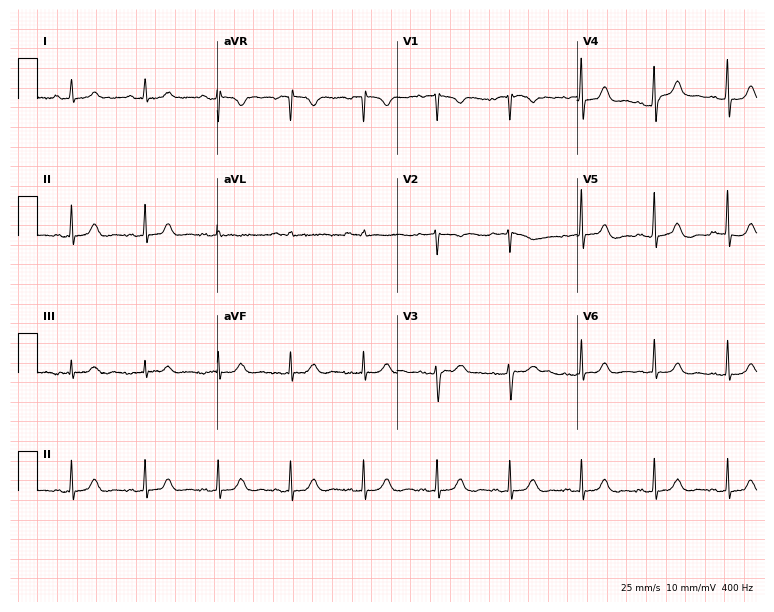
Electrocardiogram, a 65-year-old female. Of the six screened findings (first-degree AV block, right bundle branch block (RBBB), left bundle branch block (LBBB), sinus bradycardia, atrial fibrillation (AF), sinus tachycardia), none is recorded.